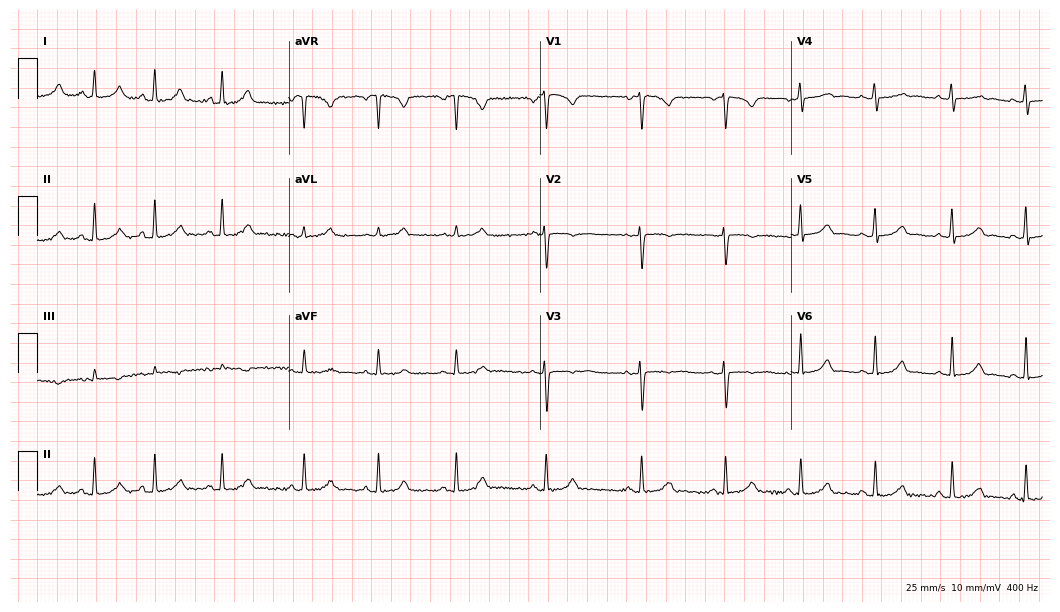
Resting 12-lead electrocardiogram. Patient: a 29-year-old female. None of these six findings is recorded: first-degree AV block, right bundle branch block (RBBB), left bundle branch block (LBBB), sinus bradycardia, atrial fibrillation (AF), sinus tachycardia.